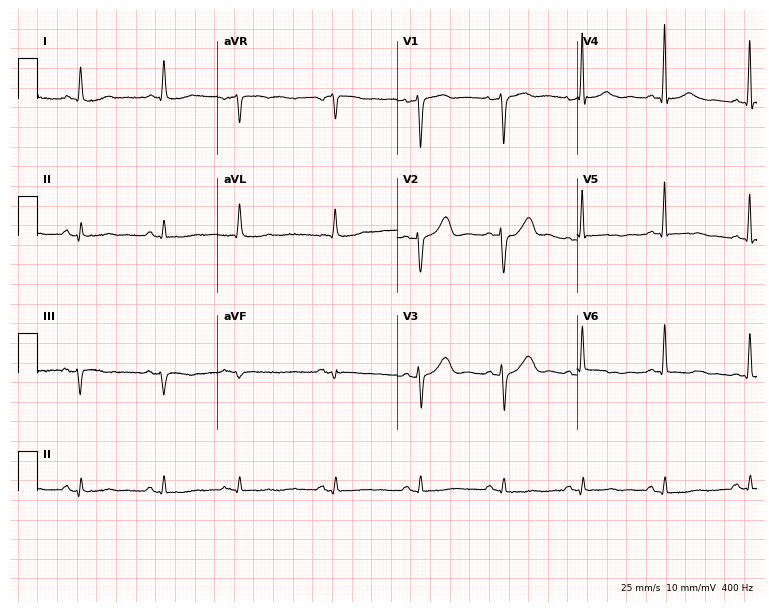
ECG (7.3-second recording at 400 Hz) — a female, 62 years old. Screened for six findings — first-degree AV block, right bundle branch block, left bundle branch block, sinus bradycardia, atrial fibrillation, sinus tachycardia — none is recorded.